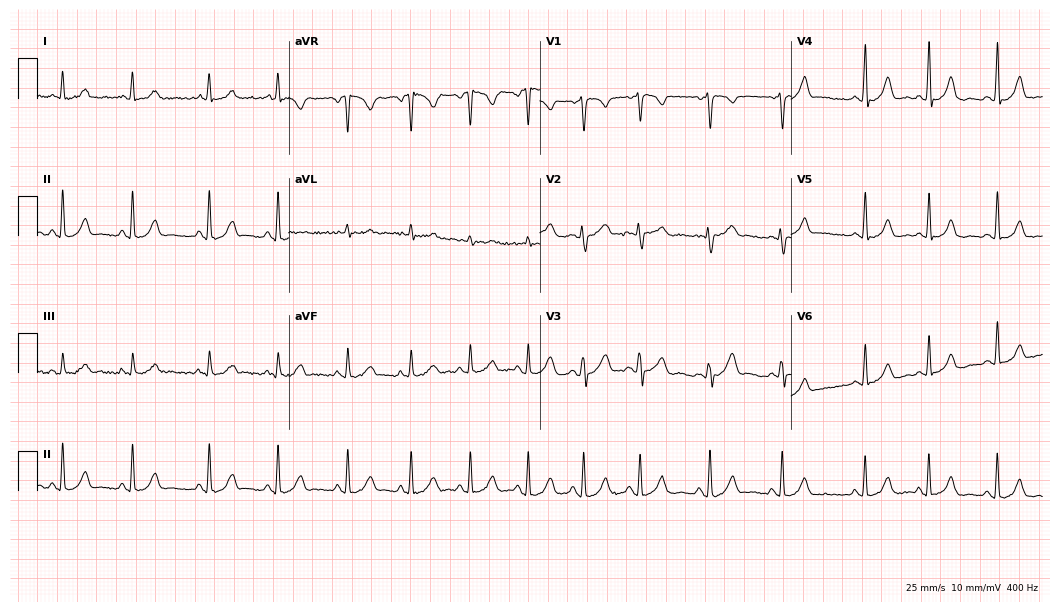
12-lead ECG (10.2-second recording at 400 Hz) from a woman, 28 years old. Screened for six findings — first-degree AV block, right bundle branch block, left bundle branch block, sinus bradycardia, atrial fibrillation, sinus tachycardia — none is recorded. Findings outside these six are not listed.